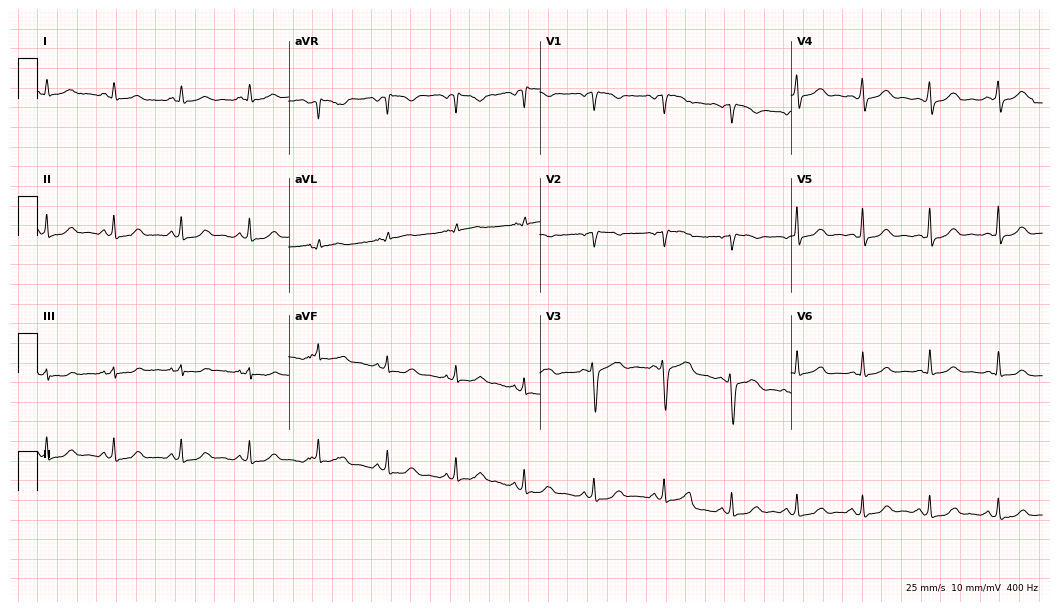
Resting 12-lead electrocardiogram. Patient: a woman, 43 years old. Read as a normal ECG.